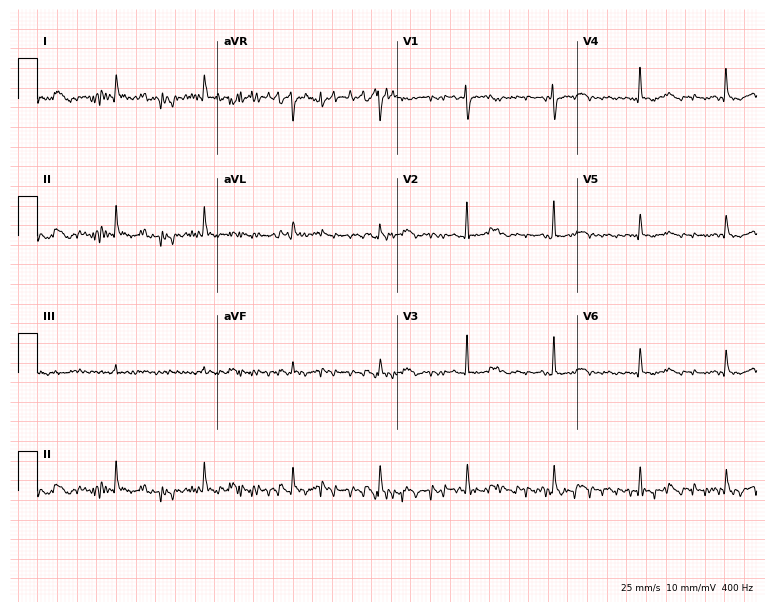
12-lead ECG from a 46-year-old female patient. Labelled as a normal ECG.